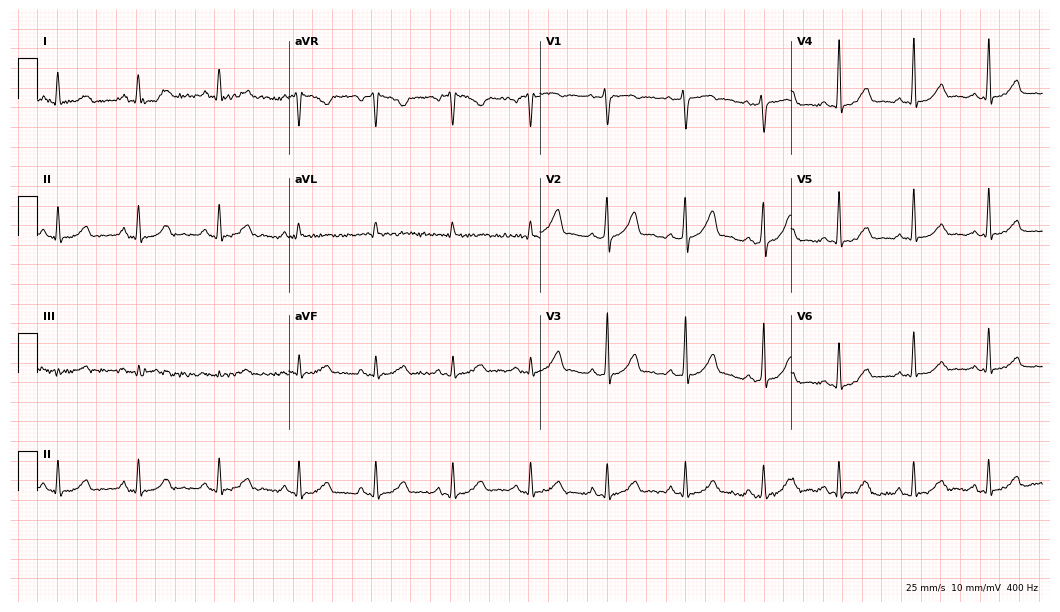
12-lead ECG from a 37-year-old woman. Recorded interpretation: within normal limits.